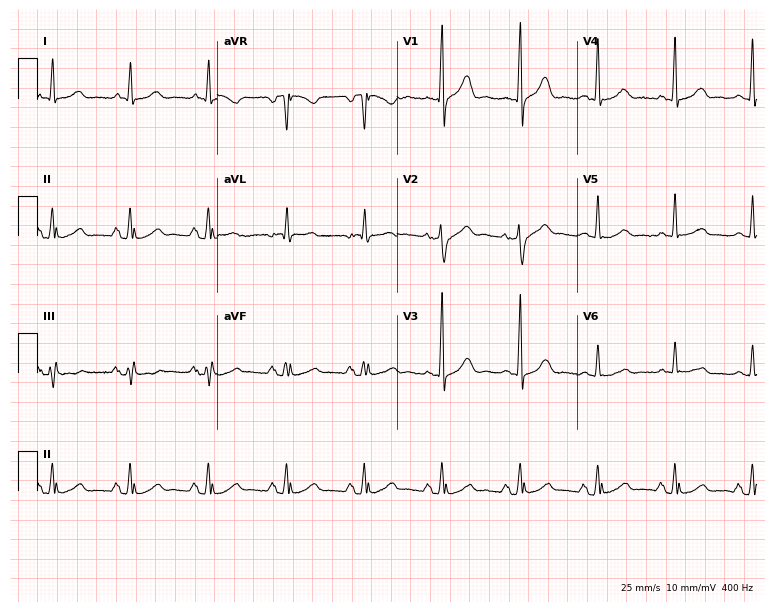
12-lead ECG from a male, 67 years old. Labelled as a normal ECG.